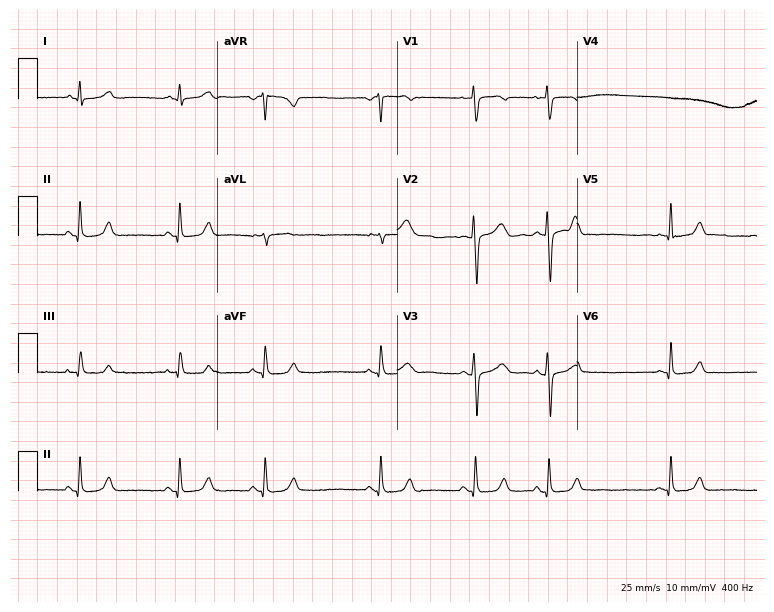
ECG (7.3-second recording at 400 Hz) — a 26-year-old woman. Labelled as a normal ECG.